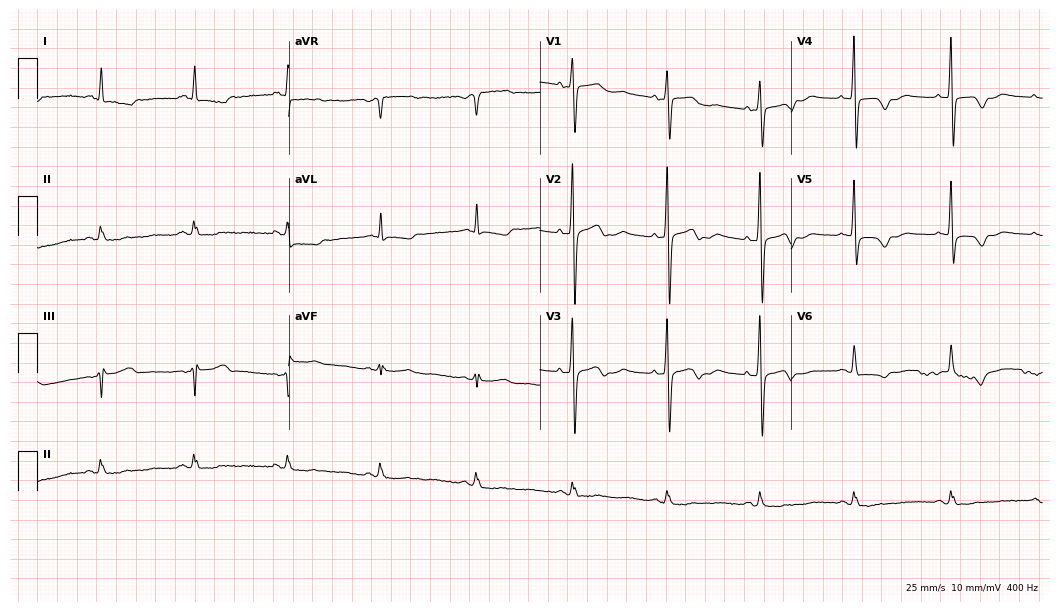
Electrocardiogram (10.2-second recording at 400 Hz), a 76-year-old female patient. Overall reading on record: normal ECG.